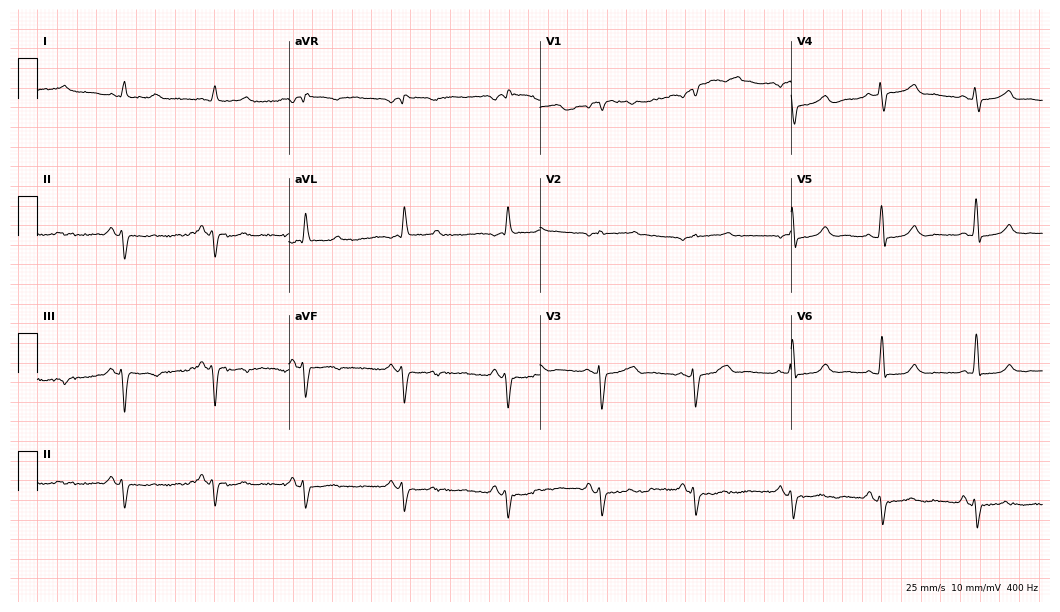
Resting 12-lead electrocardiogram. Patient: an 80-year-old female. None of these six findings is recorded: first-degree AV block, right bundle branch block (RBBB), left bundle branch block (LBBB), sinus bradycardia, atrial fibrillation (AF), sinus tachycardia.